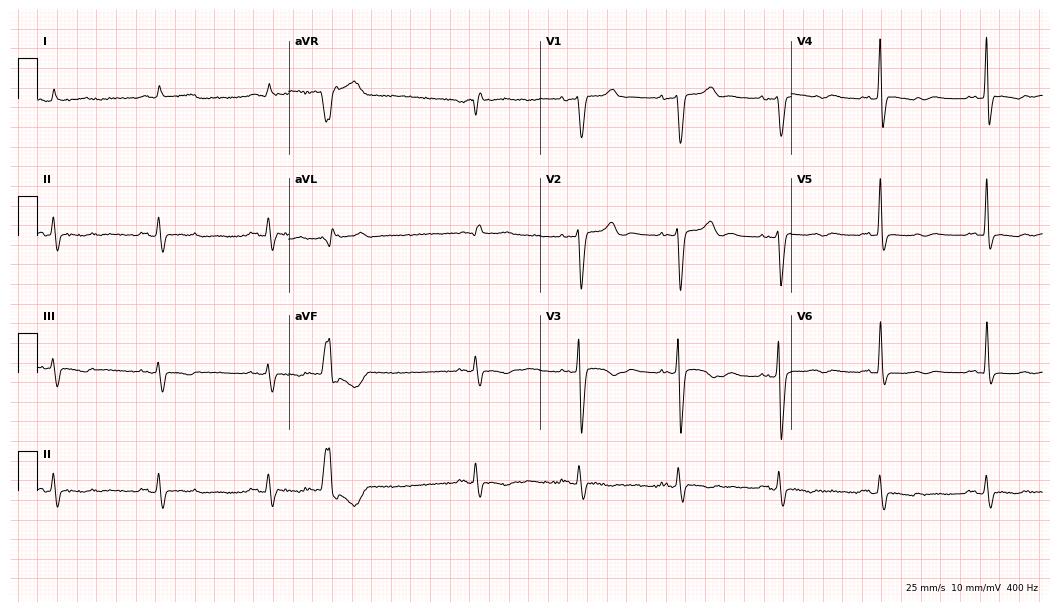
Electrocardiogram, a male, 60 years old. Of the six screened findings (first-degree AV block, right bundle branch block, left bundle branch block, sinus bradycardia, atrial fibrillation, sinus tachycardia), none is recorded. Only these six findings were labelled.